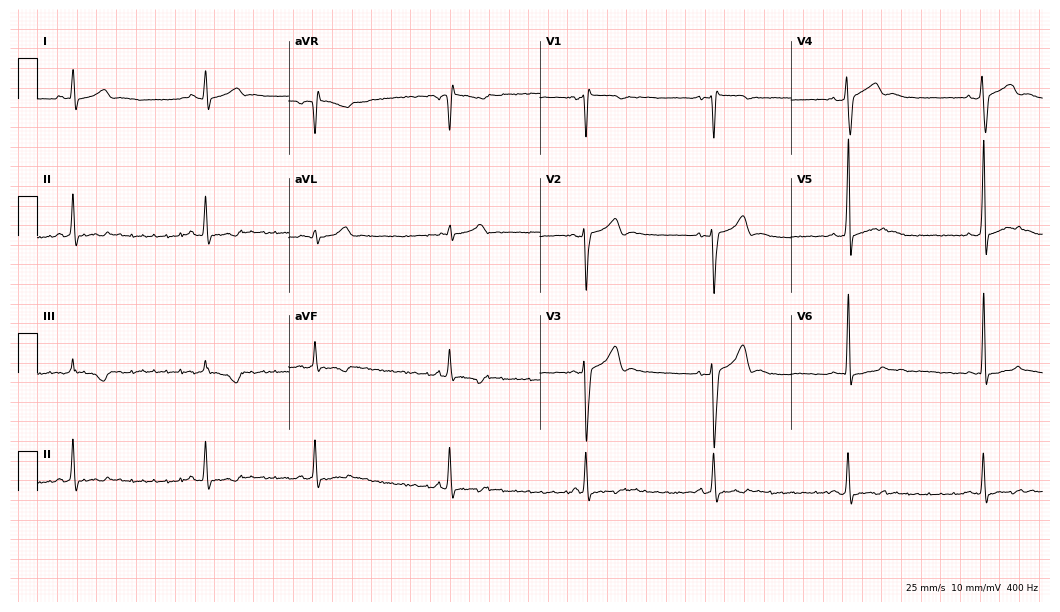
12-lead ECG from a man, 17 years old. No first-degree AV block, right bundle branch block (RBBB), left bundle branch block (LBBB), sinus bradycardia, atrial fibrillation (AF) or sinus tachycardia recorded for this tracing. Findings outside these six are not listed.